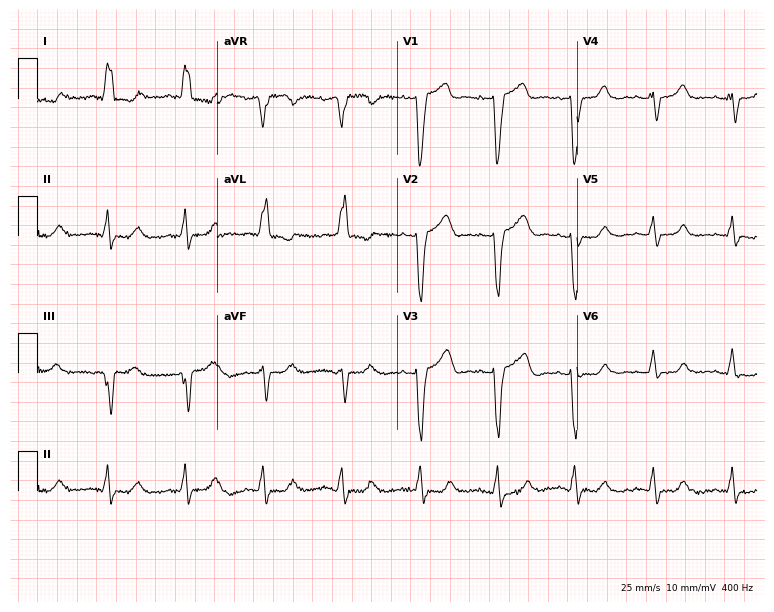
Standard 12-lead ECG recorded from a woman, 75 years old (7.3-second recording at 400 Hz). The tracing shows left bundle branch block.